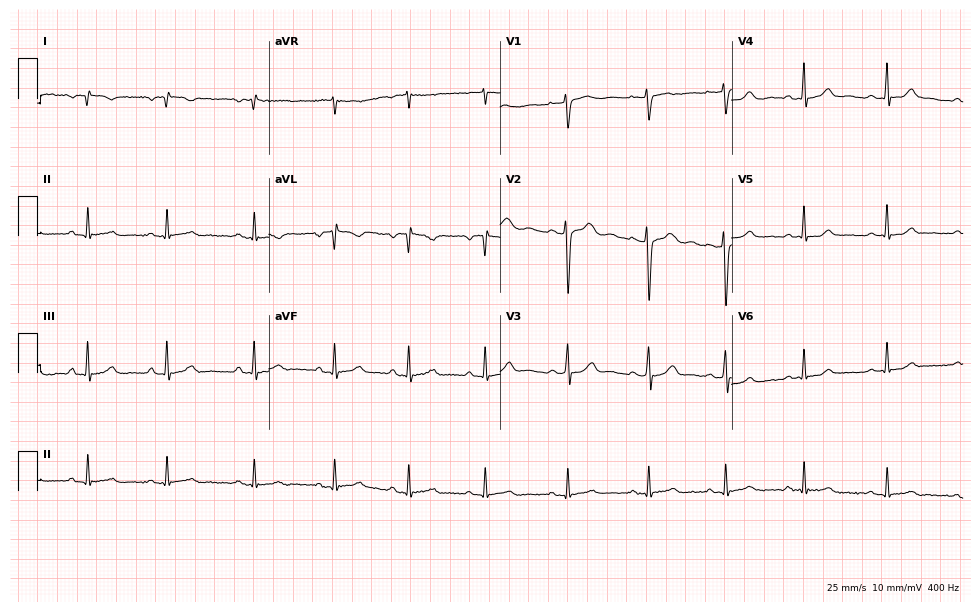
12-lead ECG from a 20-year-old woman. Screened for six findings — first-degree AV block, right bundle branch block, left bundle branch block, sinus bradycardia, atrial fibrillation, sinus tachycardia — none is recorded.